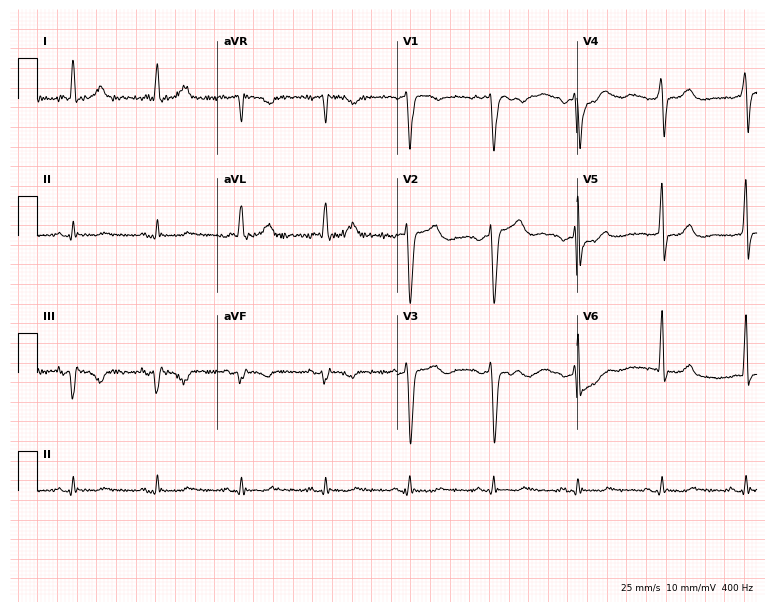
Resting 12-lead electrocardiogram. Patient: a man, 70 years old. None of these six findings is recorded: first-degree AV block, right bundle branch block, left bundle branch block, sinus bradycardia, atrial fibrillation, sinus tachycardia.